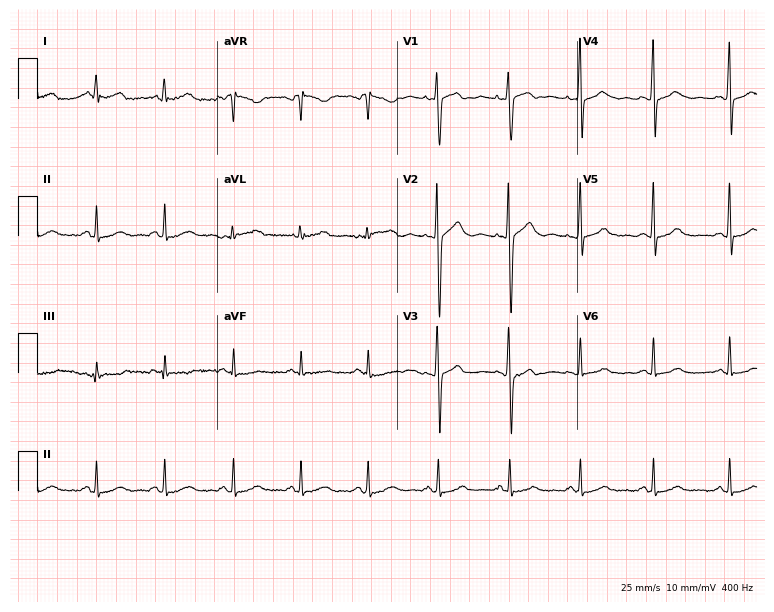
12-lead ECG (7.3-second recording at 400 Hz) from a woman, 35 years old. Screened for six findings — first-degree AV block, right bundle branch block, left bundle branch block, sinus bradycardia, atrial fibrillation, sinus tachycardia — none is recorded. Only these six findings were labelled.